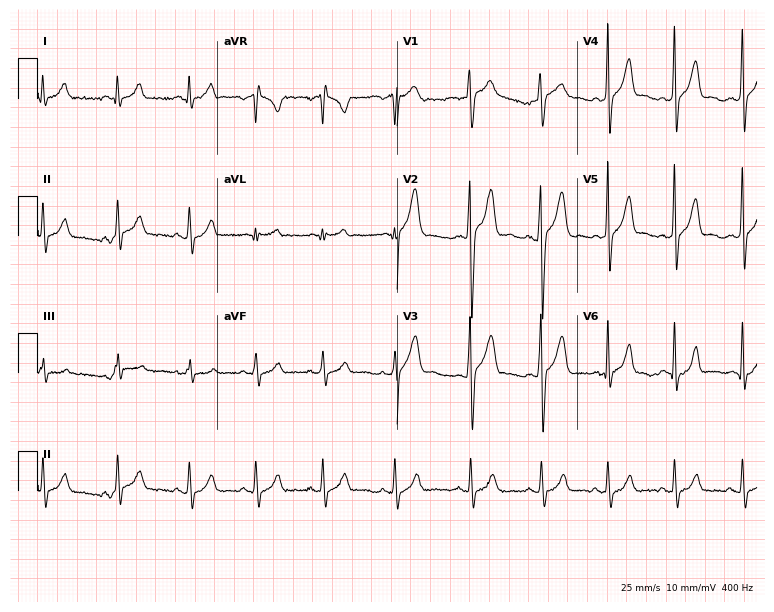
Electrocardiogram, a man, 17 years old. Overall reading on record: normal ECG.